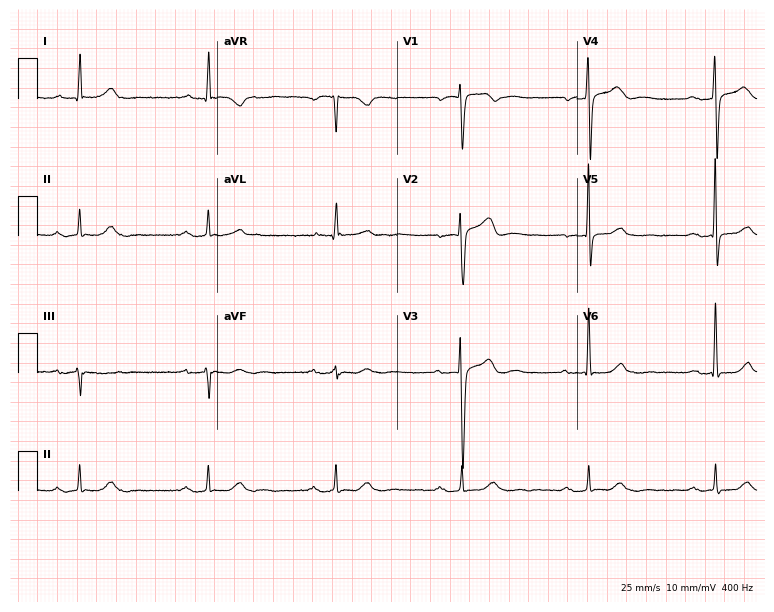
12-lead ECG from a 77-year-old male. Recorded interpretation: within normal limits.